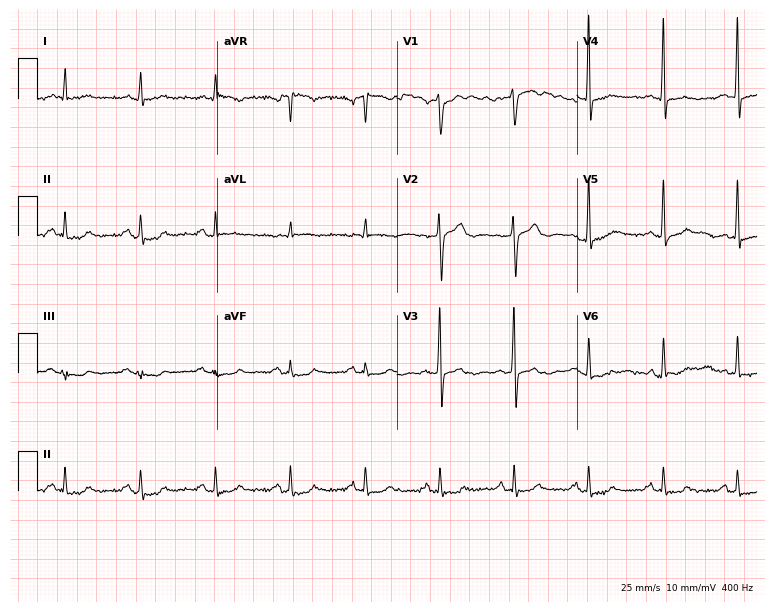
12-lead ECG (7.3-second recording at 400 Hz) from a male, 45 years old. Screened for six findings — first-degree AV block, right bundle branch block, left bundle branch block, sinus bradycardia, atrial fibrillation, sinus tachycardia — none is recorded.